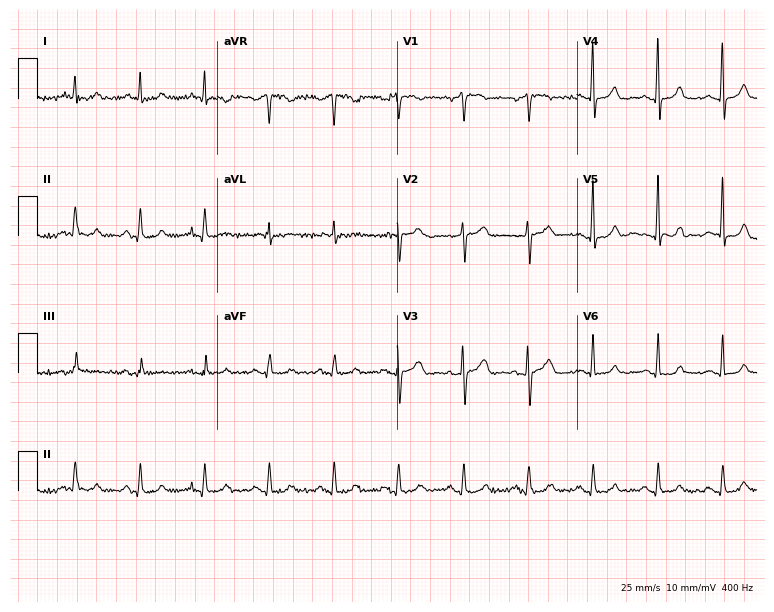
12-lead ECG from a female patient, 58 years old. Labelled as a normal ECG.